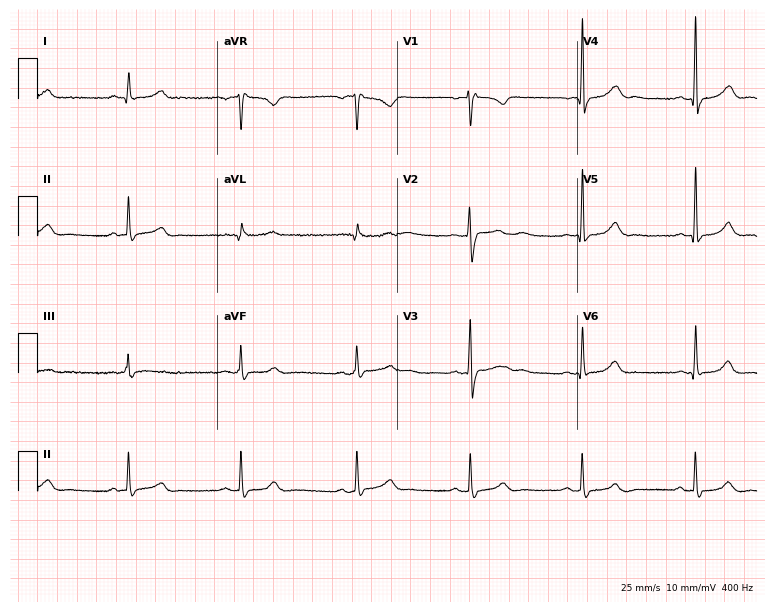
Resting 12-lead electrocardiogram (7.3-second recording at 400 Hz). Patient: a male, 36 years old. None of these six findings is recorded: first-degree AV block, right bundle branch block, left bundle branch block, sinus bradycardia, atrial fibrillation, sinus tachycardia. Only these six findings were labelled.